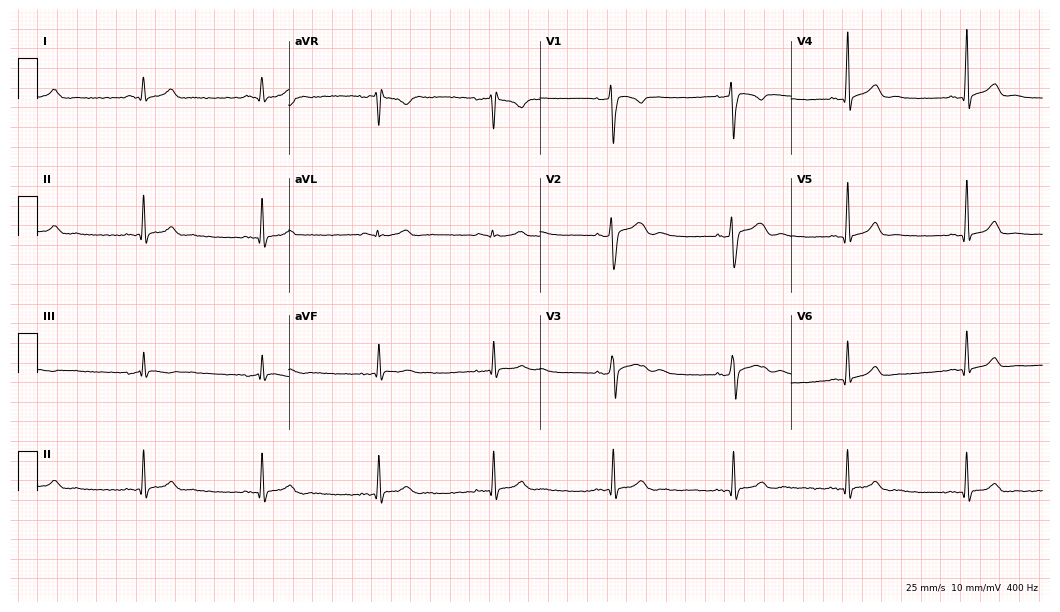
Standard 12-lead ECG recorded from a man, 28 years old. Read as a normal ECG.